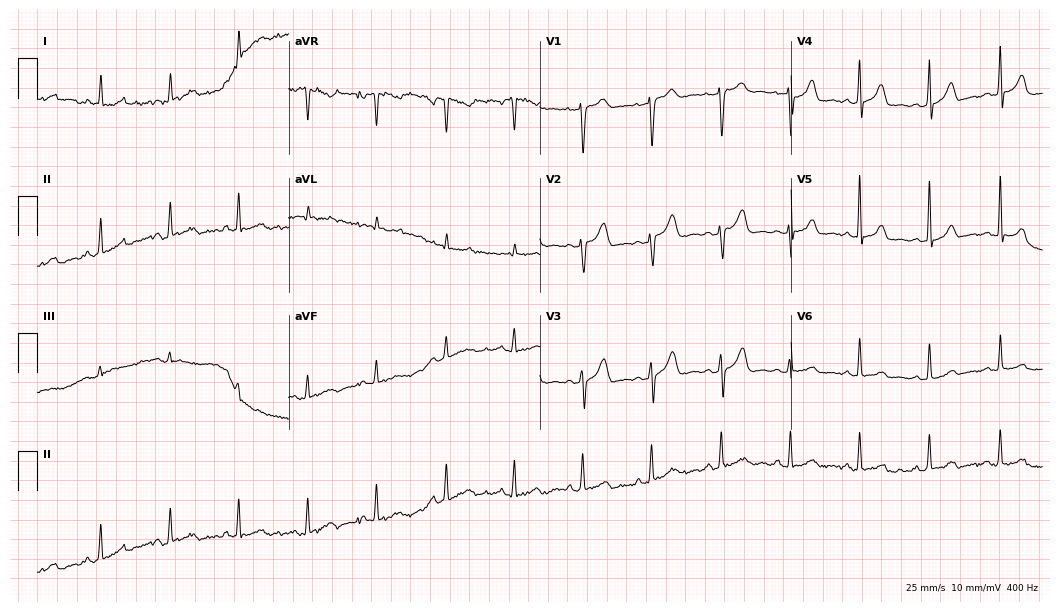
Standard 12-lead ECG recorded from a female, 74 years old (10.2-second recording at 400 Hz). None of these six findings is recorded: first-degree AV block, right bundle branch block, left bundle branch block, sinus bradycardia, atrial fibrillation, sinus tachycardia.